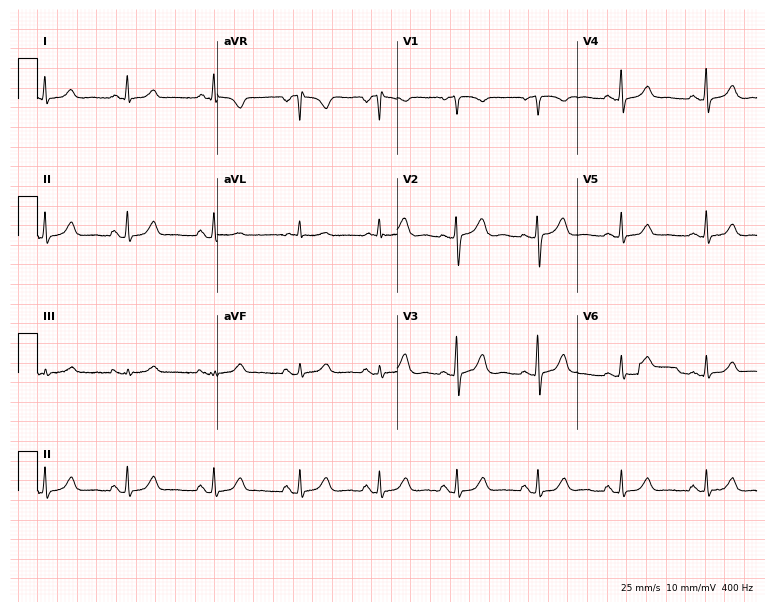
ECG — a 48-year-old female. Screened for six findings — first-degree AV block, right bundle branch block, left bundle branch block, sinus bradycardia, atrial fibrillation, sinus tachycardia — none is recorded.